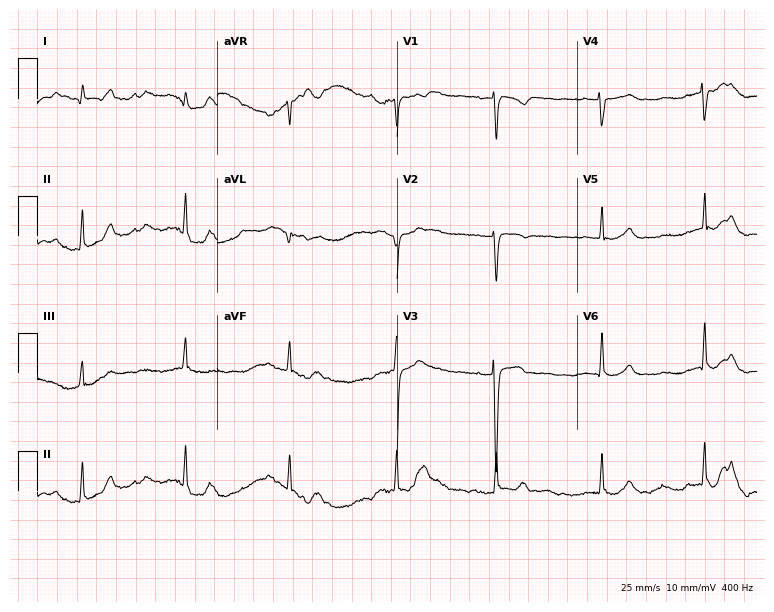
12-lead ECG (7.3-second recording at 400 Hz) from a female patient, 44 years old. Screened for six findings — first-degree AV block, right bundle branch block (RBBB), left bundle branch block (LBBB), sinus bradycardia, atrial fibrillation (AF), sinus tachycardia — none is recorded.